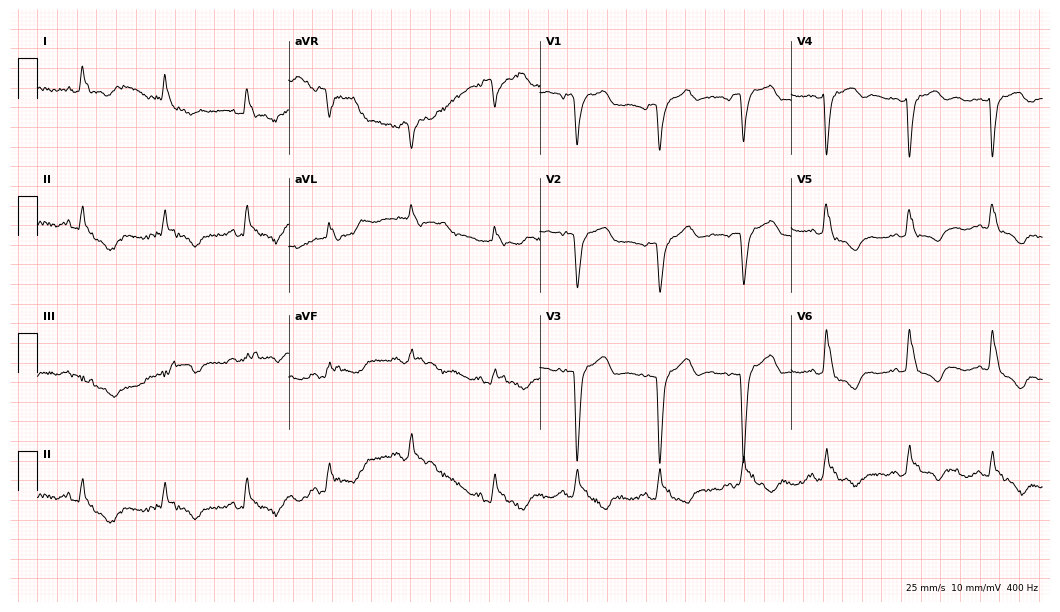
Electrocardiogram (10.2-second recording at 400 Hz), a female patient, 85 years old. Of the six screened findings (first-degree AV block, right bundle branch block (RBBB), left bundle branch block (LBBB), sinus bradycardia, atrial fibrillation (AF), sinus tachycardia), none is recorded.